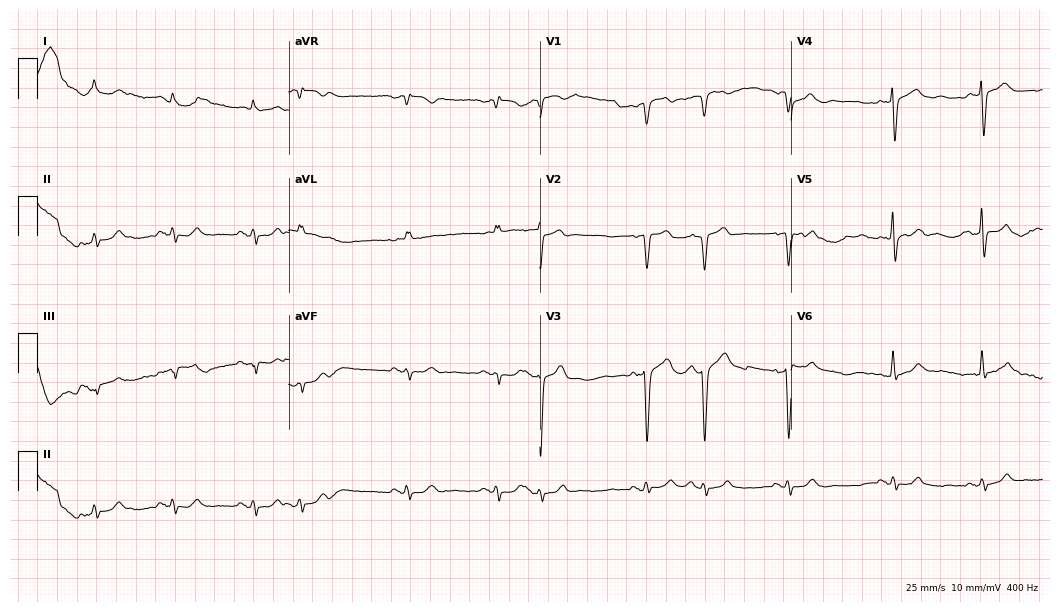
12-lead ECG from a 79-year-old man. No first-degree AV block, right bundle branch block (RBBB), left bundle branch block (LBBB), sinus bradycardia, atrial fibrillation (AF) or sinus tachycardia recorded for this tracing. Other findings, if any, are not listed.